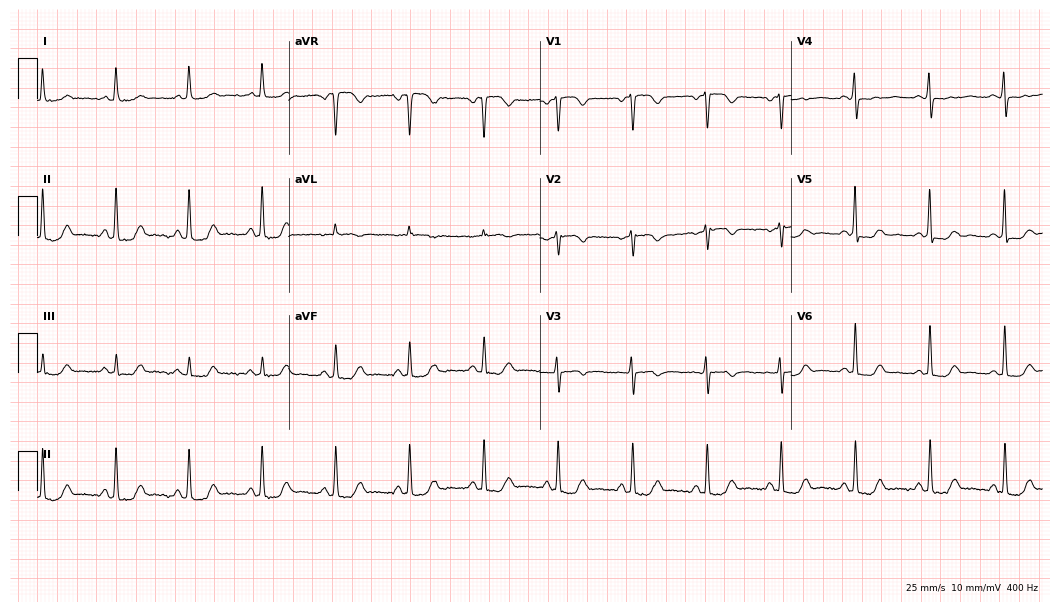
Resting 12-lead electrocardiogram (10.2-second recording at 400 Hz). Patient: a 59-year-old female. None of these six findings is recorded: first-degree AV block, right bundle branch block, left bundle branch block, sinus bradycardia, atrial fibrillation, sinus tachycardia.